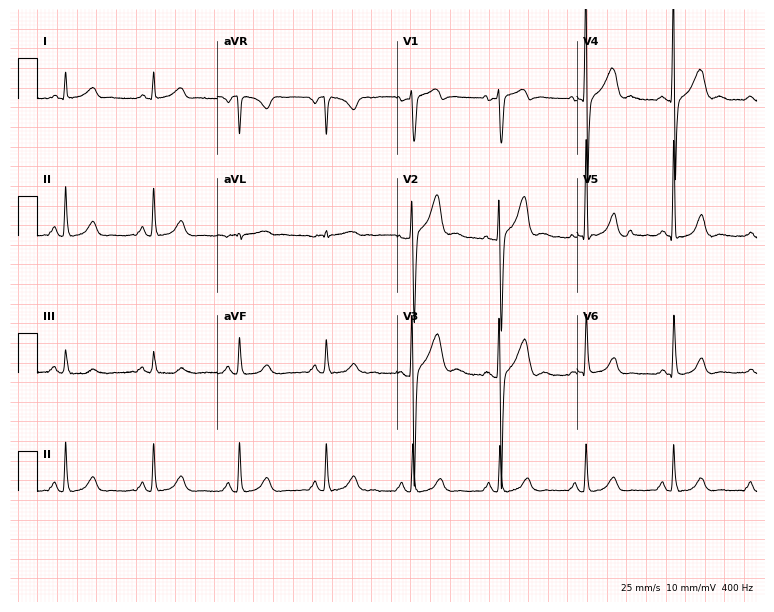
Resting 12-lead electrocardiogram. Patient: a male, 50 years old. Read as a normal ECG.